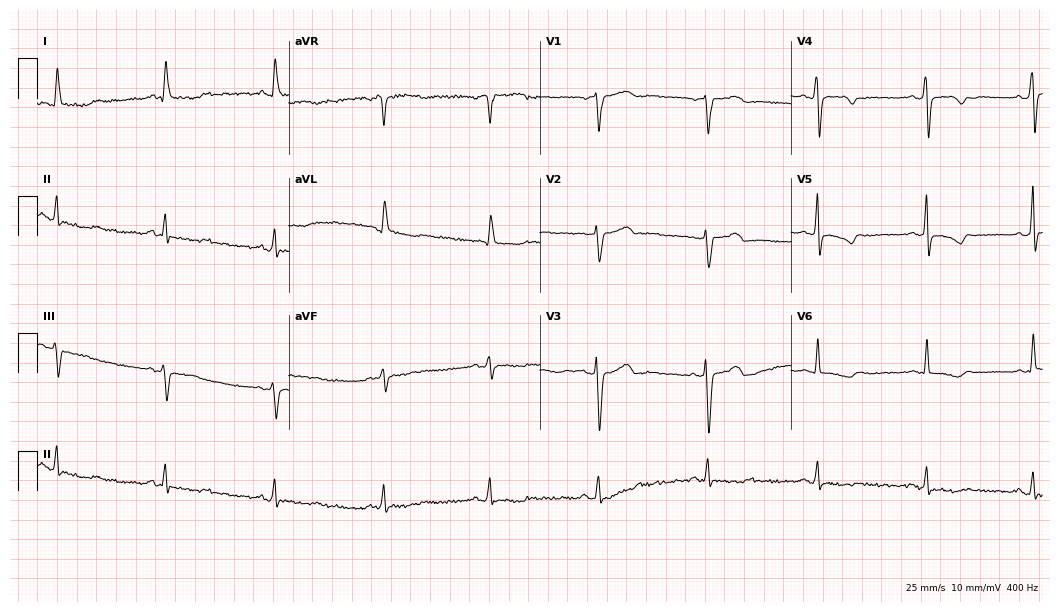
12-lead ECG from a female, 47 years old (10.2-second recording at 400 Hz). Recorded interpretation: within normal limits.